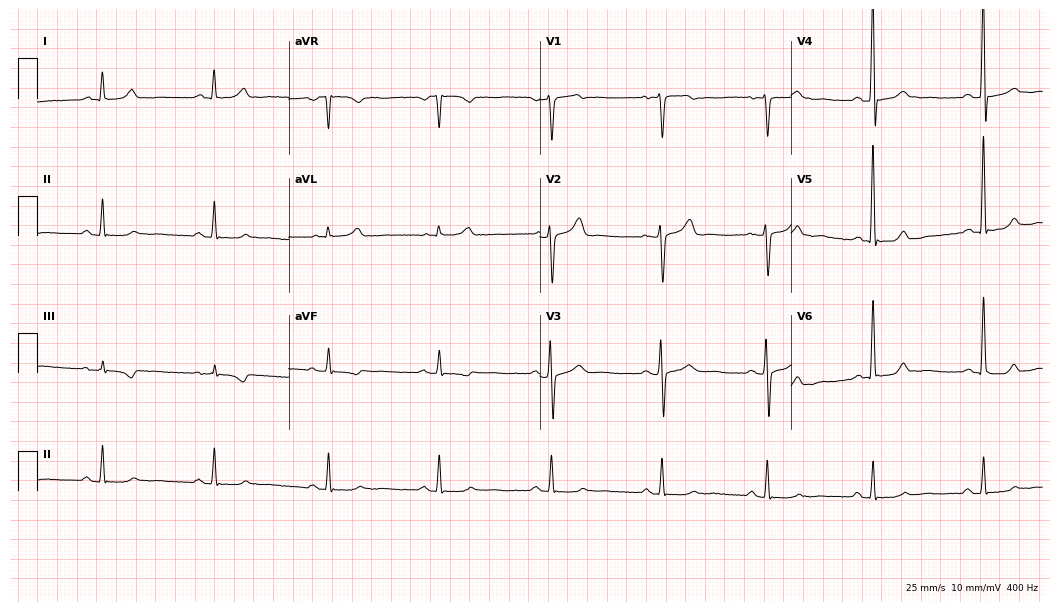
Electrocardiogram (10.2-second recording at 400 Hz), a 55-year-old male. Of the six screened findings (first-degree AV block, right bundle branch block, left bundle branch block, sinus bradycardia, atrial fibrillation, sinus tachycardia), none is recorded.